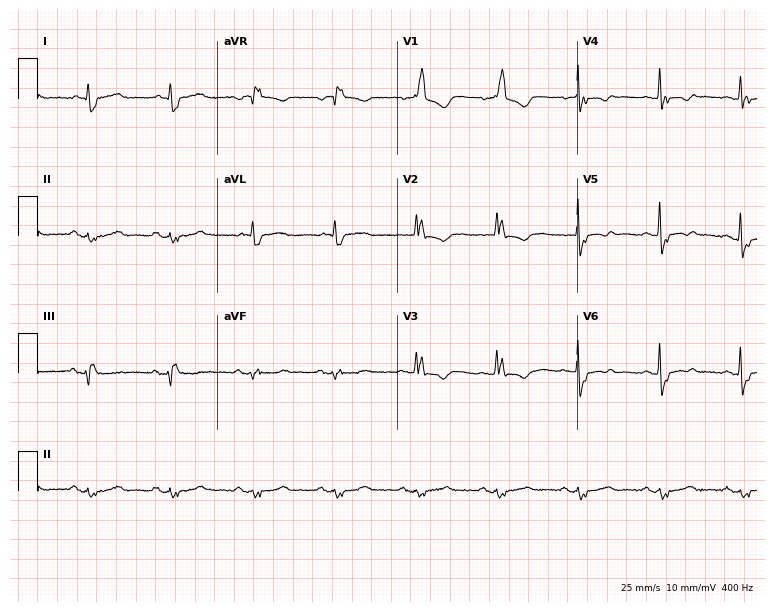
12-lead ECG (7.3-second recording at 400 Hz) from an 80-year-old woman. Findings include right bundle branch block.